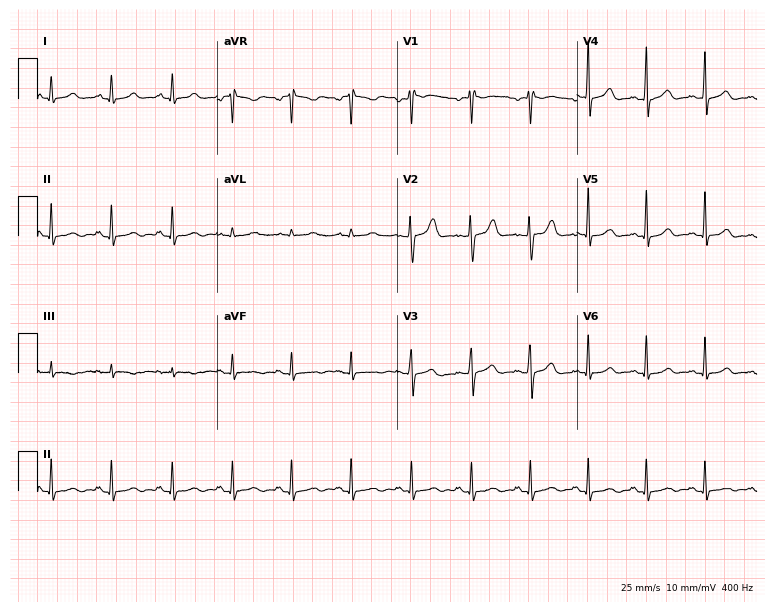
Standard 12-lead ECG recorded from a female, 18 years old. Read as a normal ECG.